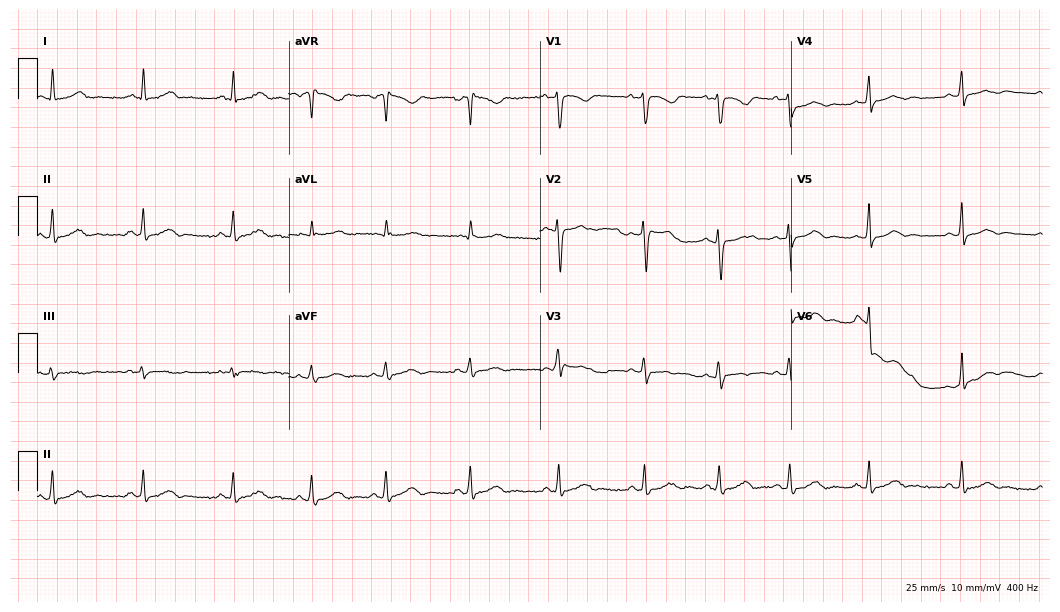
Resting 12-lead electrocardiogram. Patient: a female, 21 years old. Read as a normal ECG.